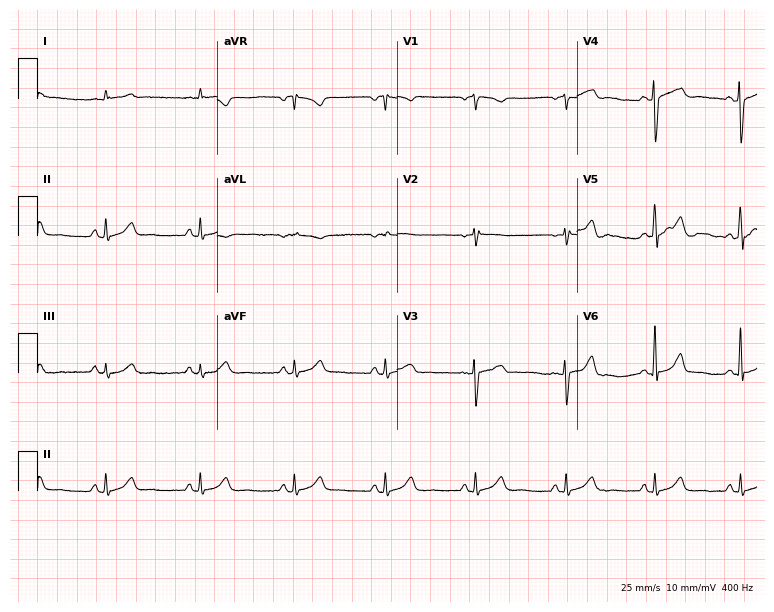
Resting 12-lead electrocardiogram. Patient: a female, 66 years old. Read as a normal ECG.